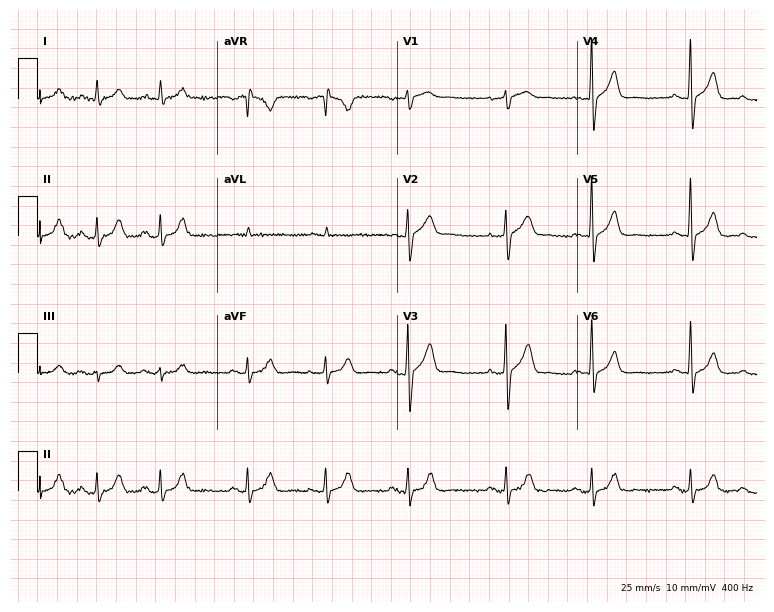
Standard 12-lead ECG recorded from a 77-year-old male. None of these six findings is recorded: first-degree AV block, right bundle branch block, left bundle branch block, sinus bradycardia, atrial fibrillation, sinus tachycardia.